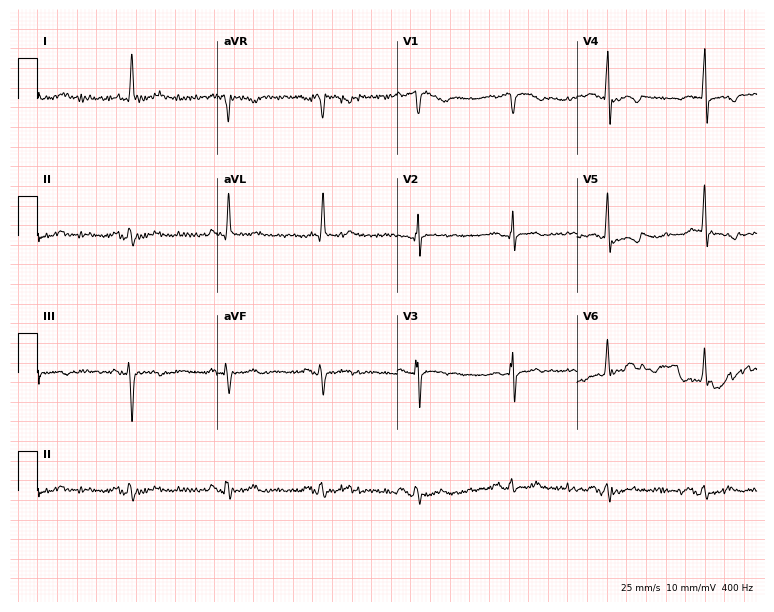
Standard 12-lead ECG recorded from a 76-year-old male (7.3-second recording at 400 Hz). None of these six findings is recorded: first-degree AV block, right bundle branch block, left bundle branch block, sinus bradycardia, atrial fibrillation, sinus tachycardia. Other findings, if any, are not listed.